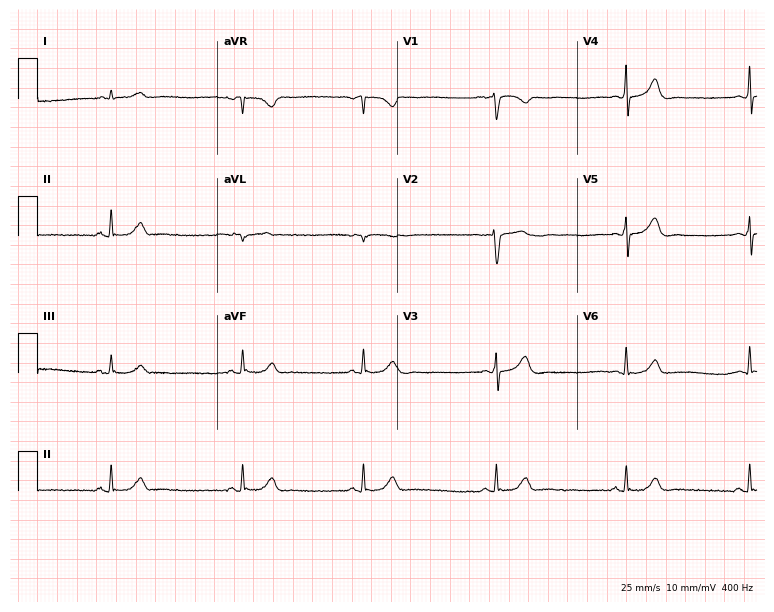
12-lead ECG (7.3-second recording at 400 Hz) from a 38-year-old female patient. Findings include sinus bradycardia (a sinus rate of 50 beats per minute or less).